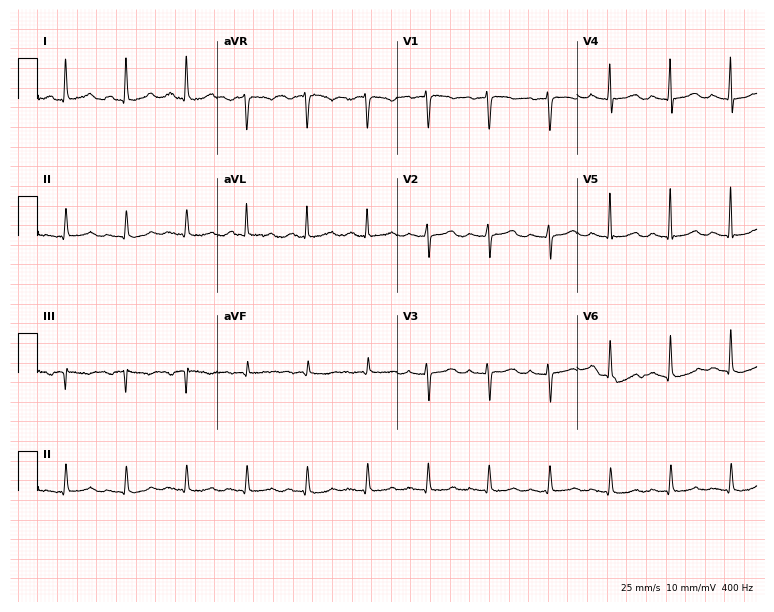
Standard 12-lead ECG recorded from a female, 52 years old (7.3-second recording at 400 Hz). Read as a normal ECG.